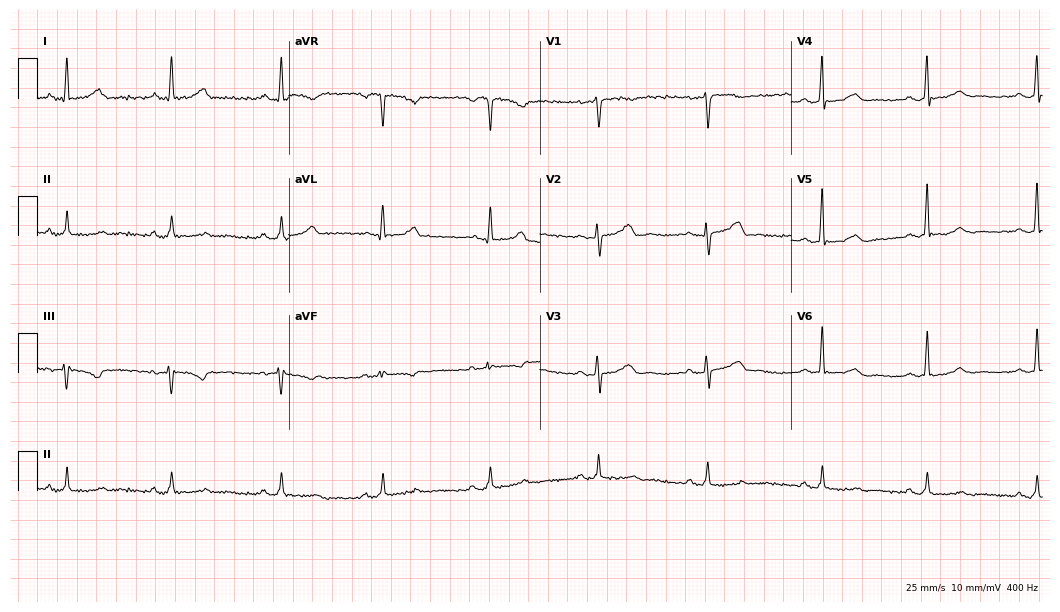
ECG — a female patient, 52 years old. Screened for six findings — first-degree AV block, right bundle branch block (RBBB), left bundle branch block (LBBB), sinus bradycardia, atrial fibrillation (AF), sinus tachycardia — none is recorded. Findings outside these six are not listed.